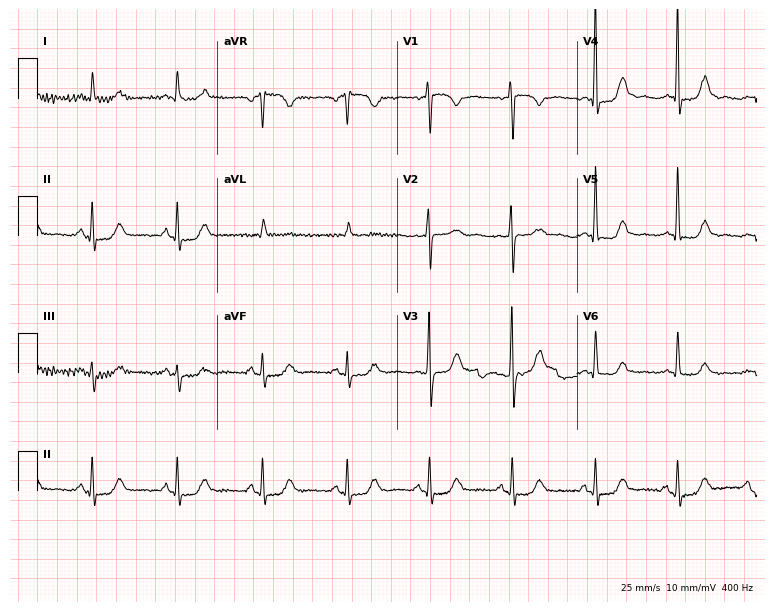
ECG (7.3-second recording at 400 Hz) — a 58-year-old female. Screened for six findings — first-degree AV block, right bundle branch block (RBBB), left bundle branch block (LBBB), sinus bradycardia, atrial fibrillation (AF), sinus tachycardia — none is recorded. Other findings, if any, are not listed.